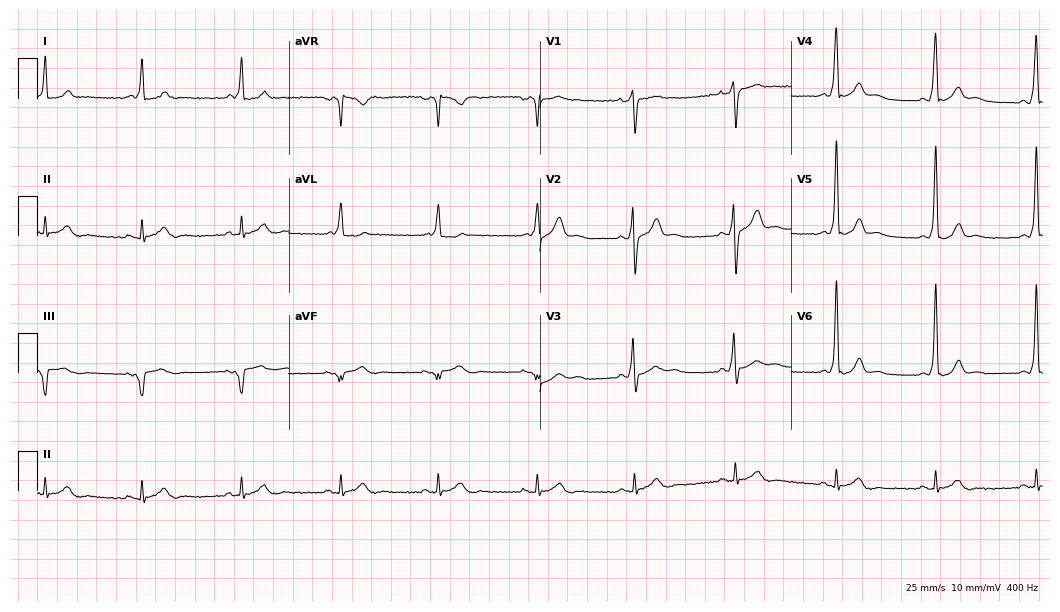
12-lead ECG from a 30-year-old male. Screened for six findings — first-degree AV block, right bundle branch block, left bundle branch block, sinus bradycardia, atrial fibrillation, sinus tachycardia — none is recorded.